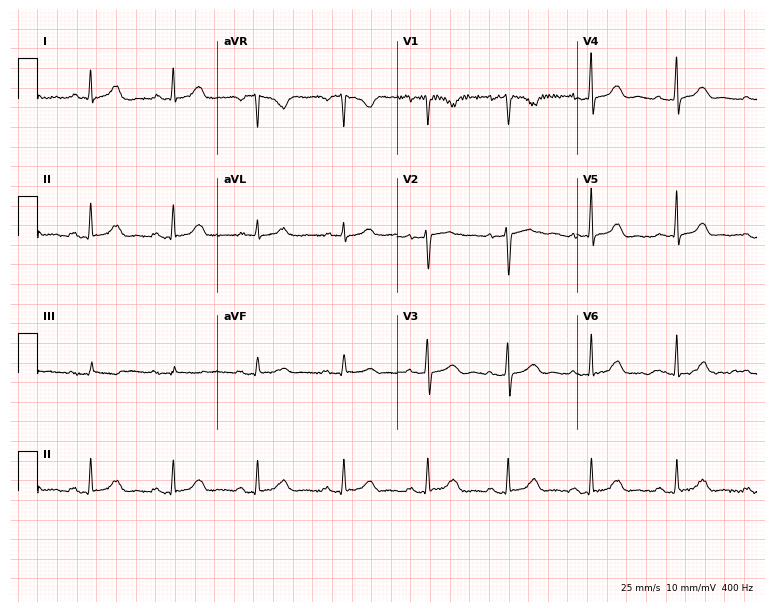
Resting 12-lead electrocardiogram (7.3-second recording at 400 Hz). Patient: a female, 42 years old. None of these six findings is recorded: first-degree AV block, right bundle branch block, left bundle branch block, sinus bradycardia, atrial fibrillation, sinus tachycardia. Only these six findings were labelled.